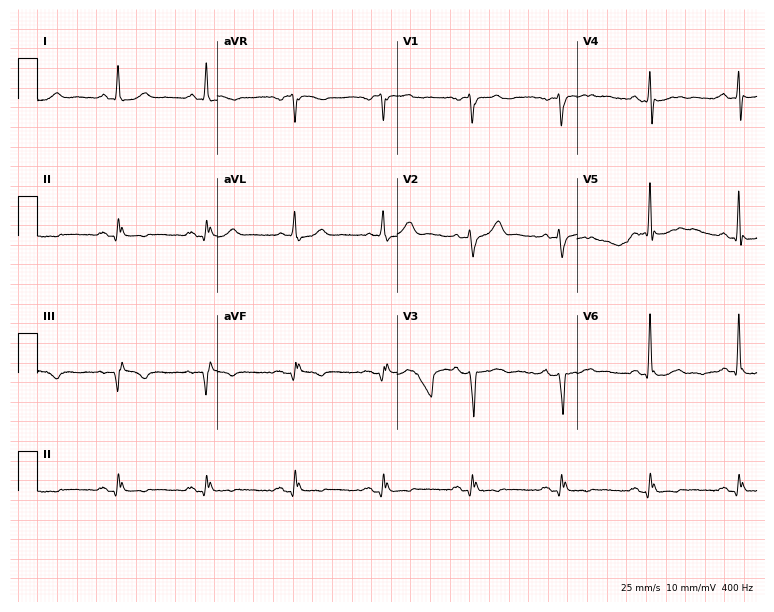
Standard 12-lead ECG recorded from a man, 62 years old. None of these six findings is recorded: first-degree AV block, right bundle branch block (RBBB), left bundle branch block (LBBB), sinus bradycardia, atrial fibrillation (AF), sinus tachycardia. Findings outside these six are not listed.